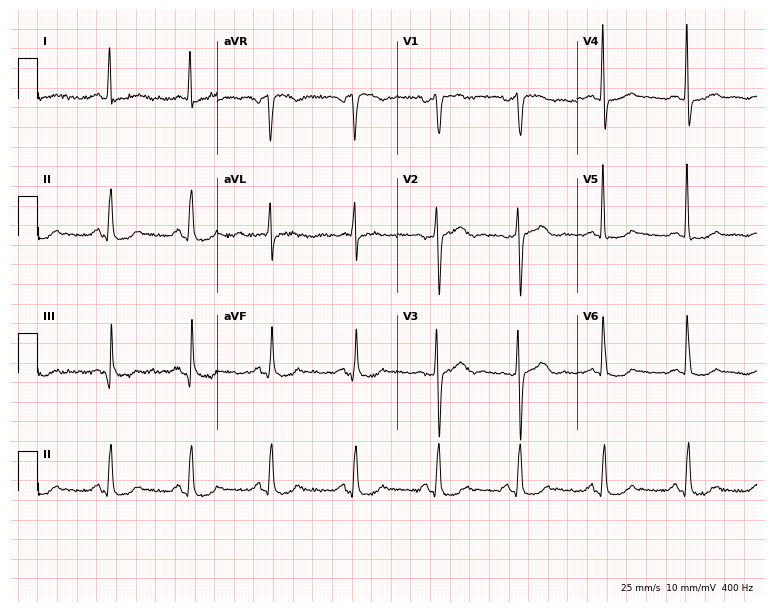
Resting 12-lead electrocardiogram. Patient: a woman, 56 years old. Read as a normal ECG.